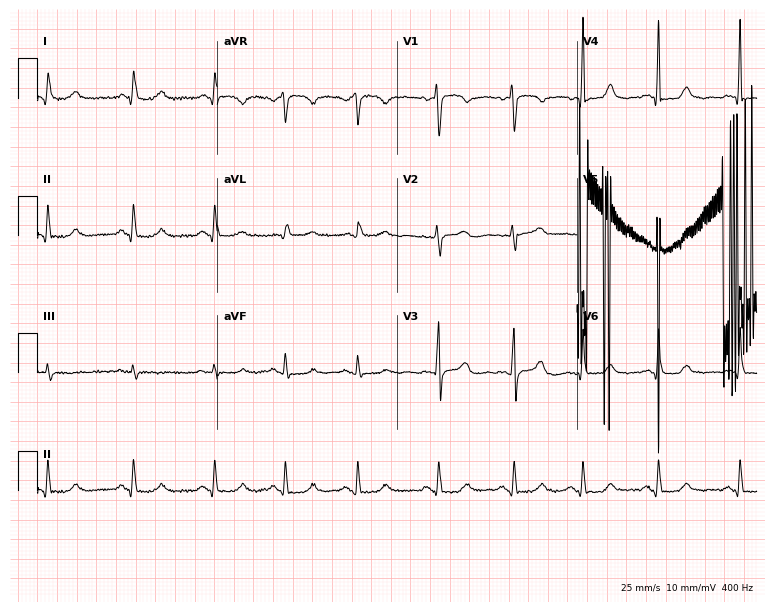
Standard 12-lead ECG recorded from a female patient, 46 years old. None of these six findings is recorded: first-degree AV block, right bundle branch block, left bundle branch block, sinus bradycardia, atrial fibrillation, sinus tachycardia. Other findings, if any, are not listed.